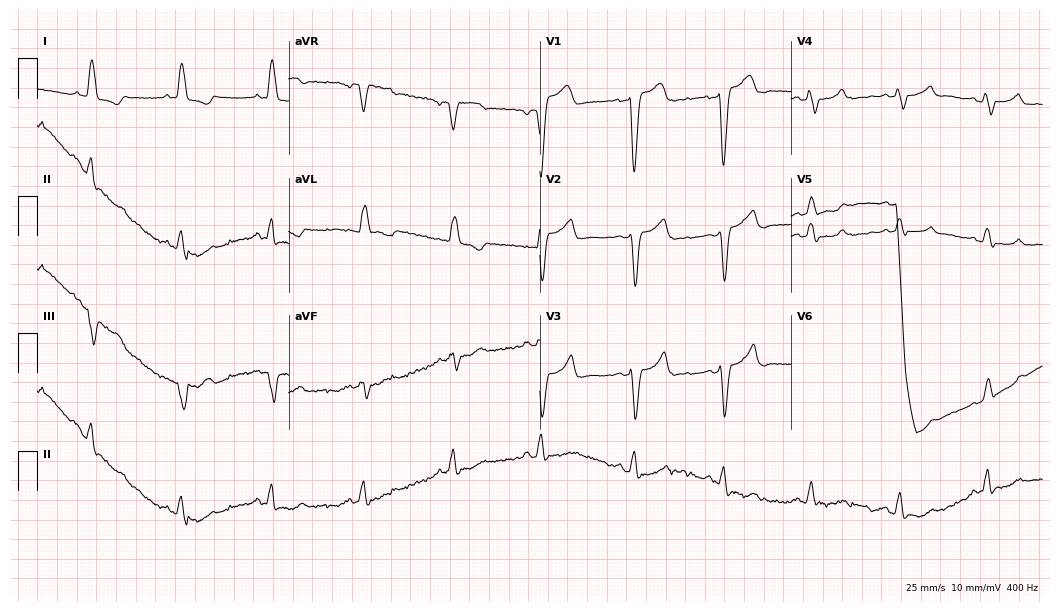
12-lead ECG from a female, 61 years old (10.2-second recording at 400 Hz). Shows left bundle branch block (LBBB).